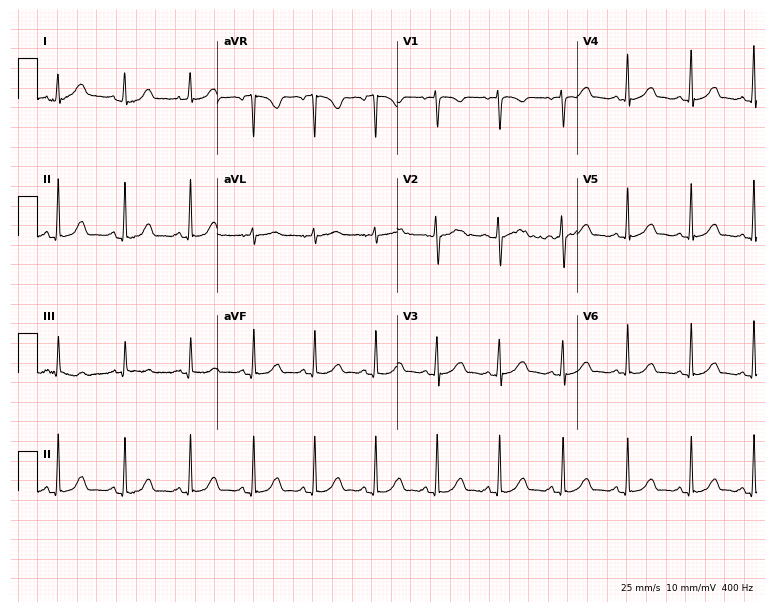
ECG (7.3-second recording at 400 Hz) — a woman, 35 years old. Labelled as a normal ECG.